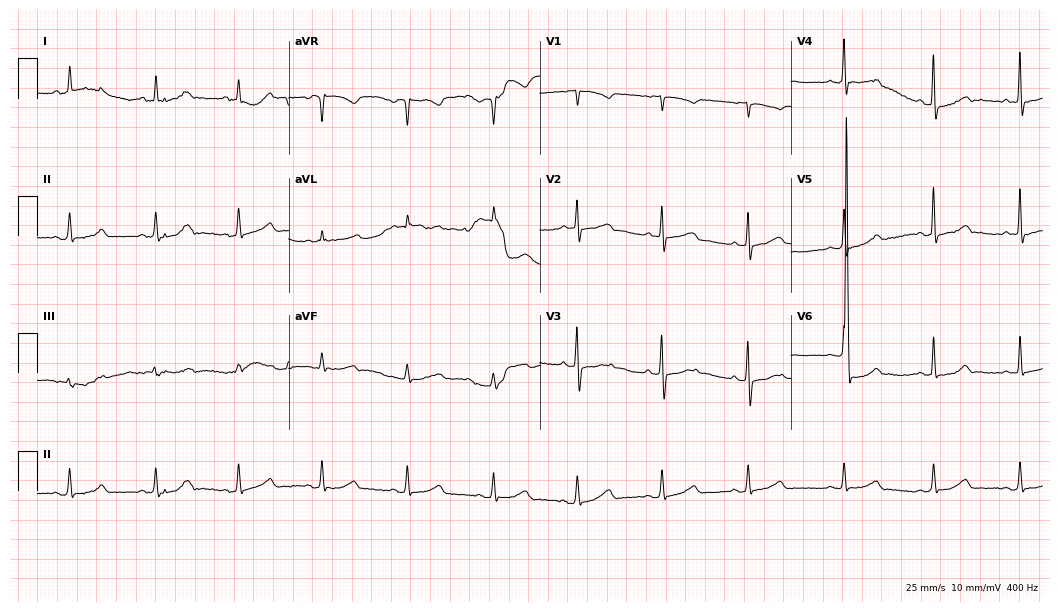
12-lead ECG from a female, 67 years old (10.2-second recording at 400 Hz). No first-degree AV block, right bundle branch block, left bundle branch block, sinus bradycardia, atrial fibrillation or sinus tachycardia recorded for this tracing.